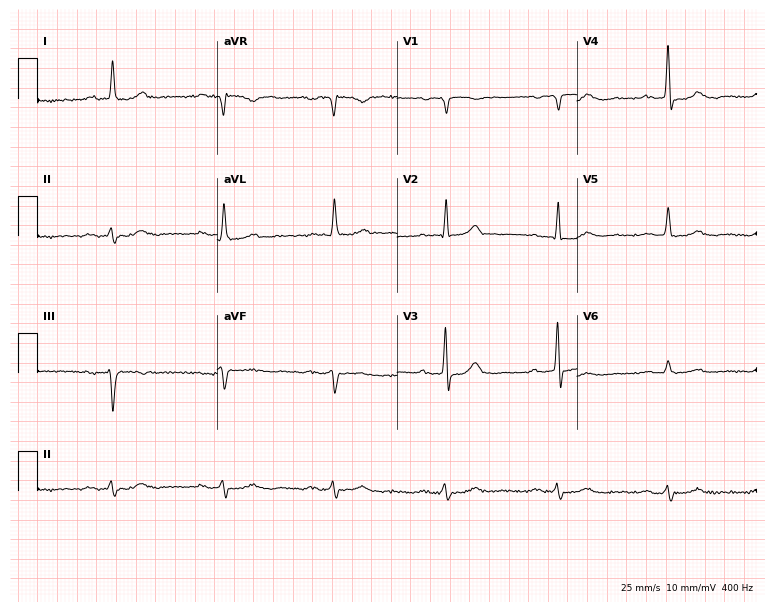
Resting 12-lead electrocardiogram. Patient: an 80-year-old male. None of these six findings is recorded: first-degree AV block, right bundle branch block, left bundle branch block, sinus bradycardia, atrial fibrillation, sinus tachycardia.